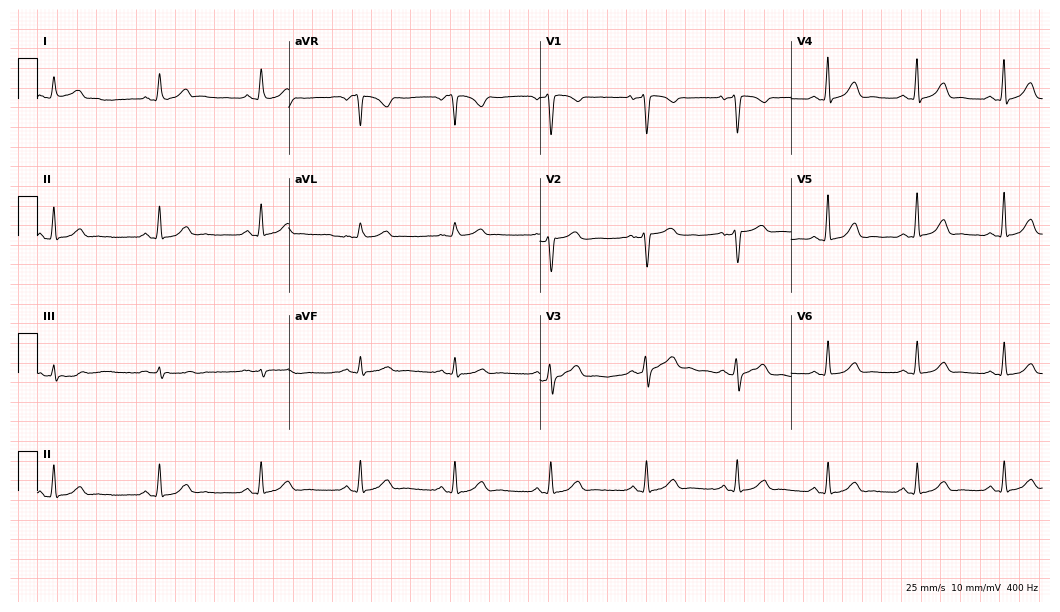
Resting 12-lead electrocardiogram. Patient: a female, 24 years old. Read as a normal ECG.